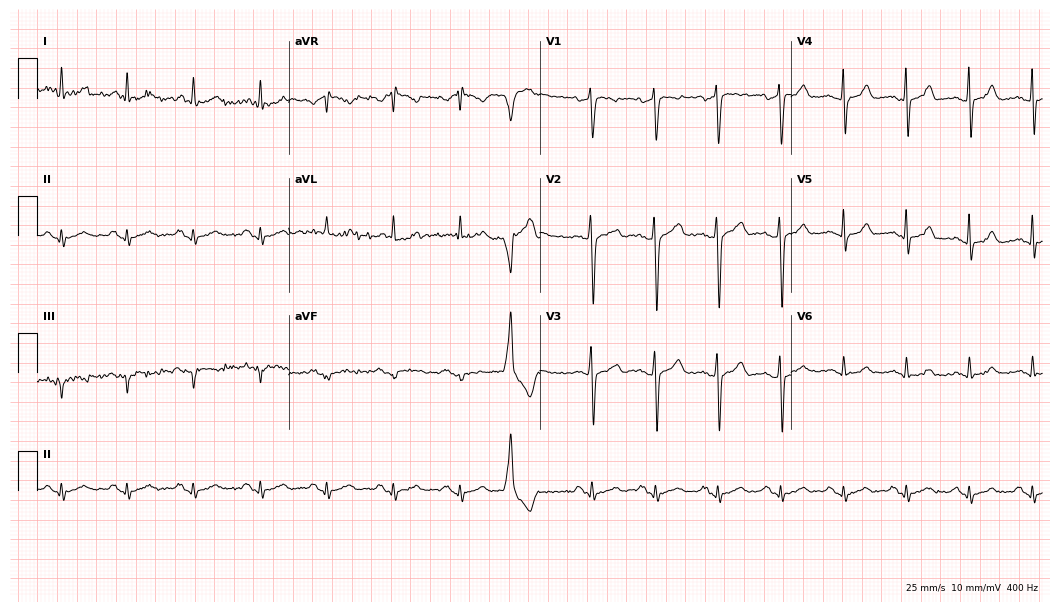
12-lead ECG from an 81-year-old male patient. Screened for six findings — first-degree AV block, right bundle branch block (RBBB), left bundle branch block (LBBB), sinus bradycardia, atrial fibrillation (AF), sinus tachycardia — none is recorded.